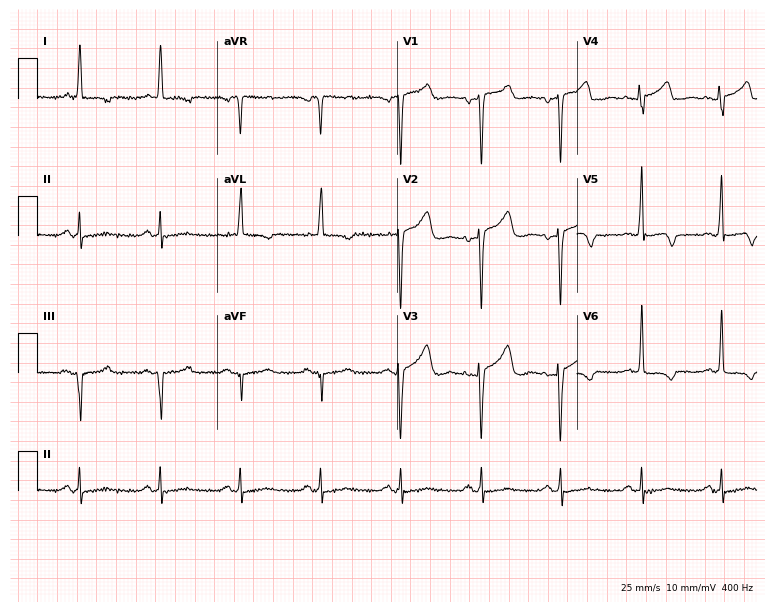
Electrocardiogram, a female patient, 59 years old. Of the six screened findings (first-degree AV block, right bundle branch block (RBBB), left bundle branch block (LBBB), sinus bradycardia, atrial fibrillation (AF), sinus tachycardia), none is recorded. Only these six findings were labelled.